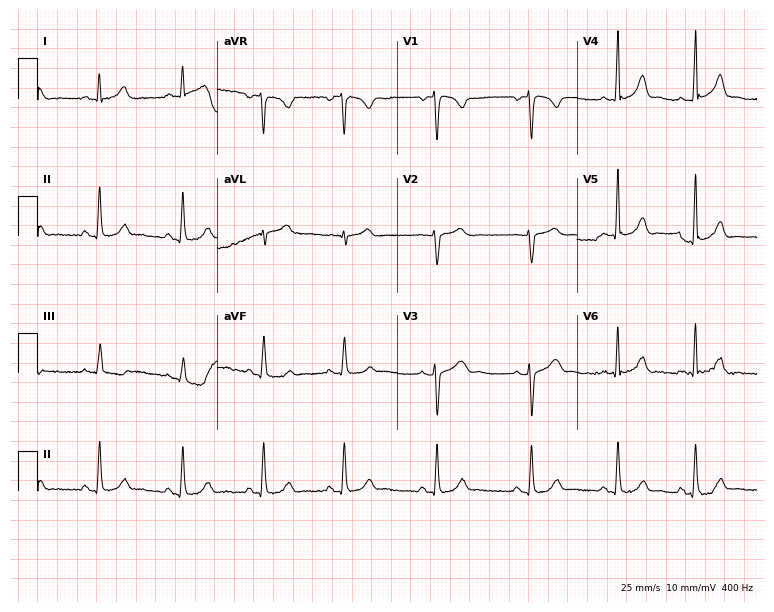
12-lead ECG from a woman, 27 years old. Screened for six findings — first-degree AV block, right bundle branch block (RBBB), left bundle branch block (LBBB), sinus bradycardia, atrial fibrillation (AF), sinus tachycardia — none is recorded.